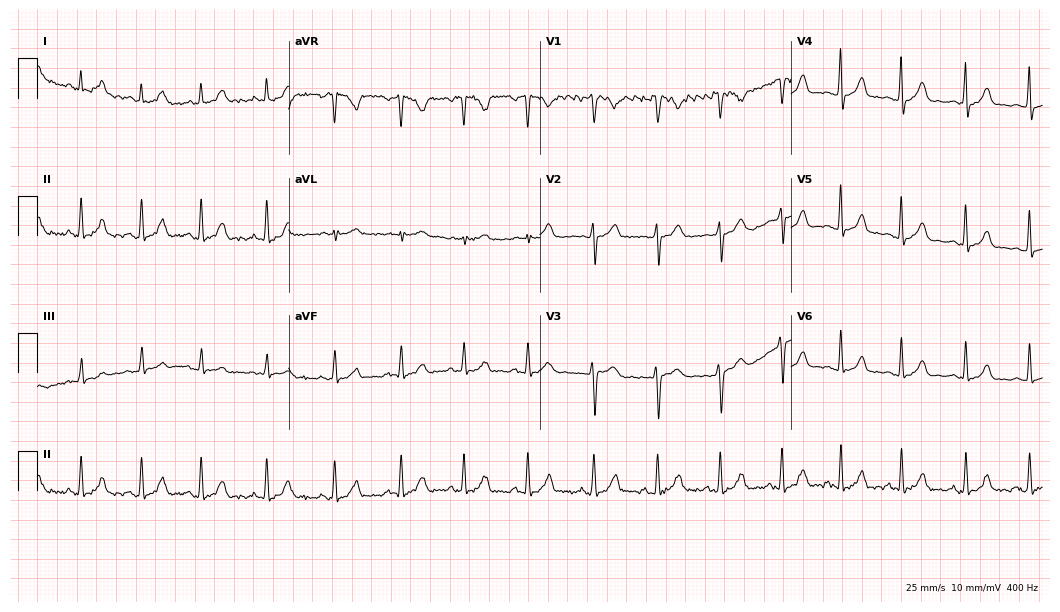
12-lead ECG from a female, 29 years old. No first-degree AV block, right bundle branch block (RBBB), left bundle branch block (LBBB), sinus bradycardia, atrial fibrillation (AF) or sinus tachycardia recorded for this tracing. Other findings, if any, are not listed.